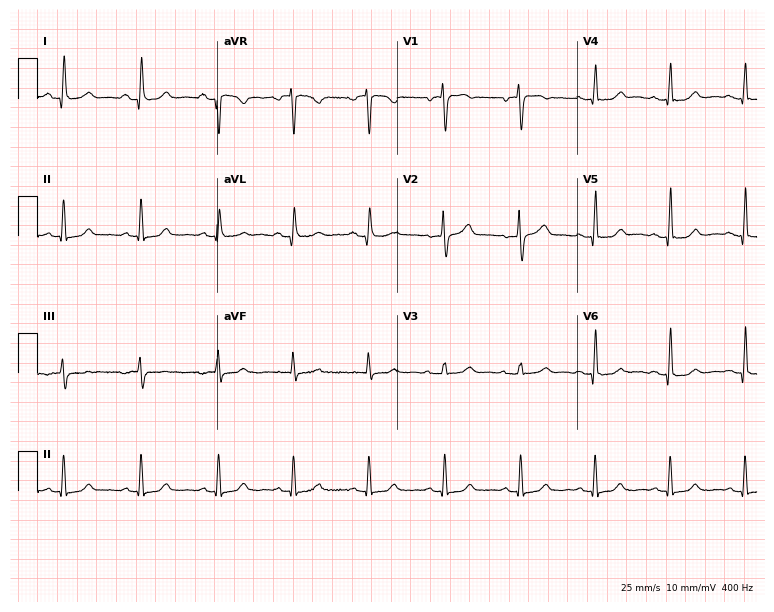
ECG (7.3-second recording at 400 Hz) — a 47-year-old woman. Labelled as a normal ECG.